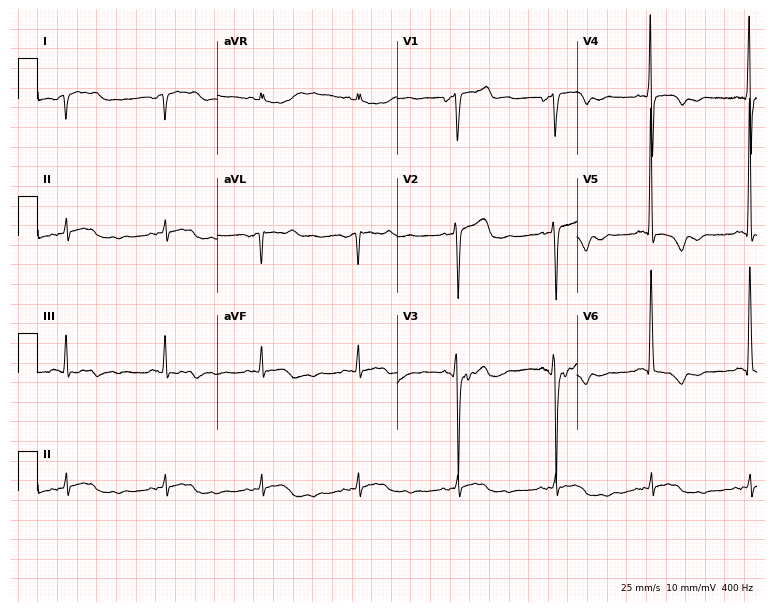
Electrocardiogram (7.3-second recording at 400 Hz), a 66-year-old woman. Of the six screened findings (first-degree AV block, right bundle branch block, left bundle branch block, sinus bradycardia, atrial fibrillation, sinus tachycardia), none is recorded. Other findings, if any, are not listed.